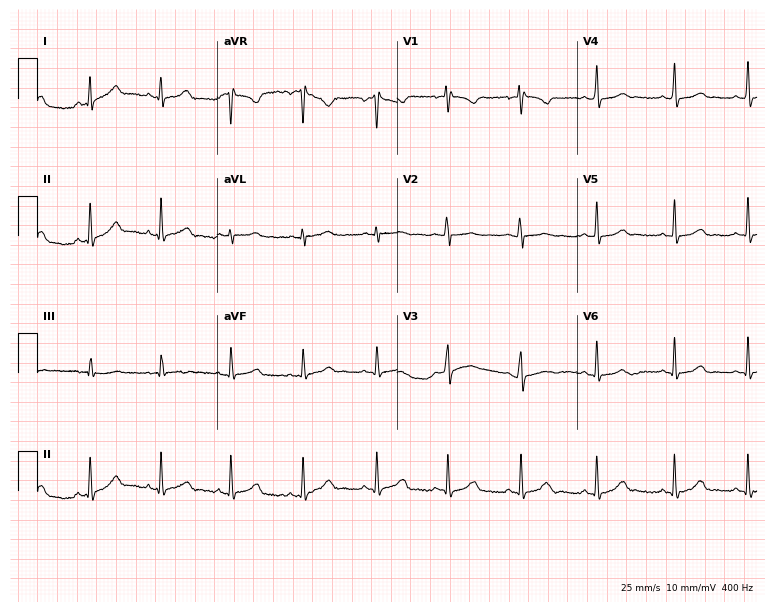
12-lead ECG from a 32-year-old female (7.3-second recording at 400 Hz). No first-degree AV block, right bundle branch block, left bundle branch block, sinus bradycardia, atrial fibrillation or sinus tachycardia recorded for this tracing. Other findings, if any, are not listed.